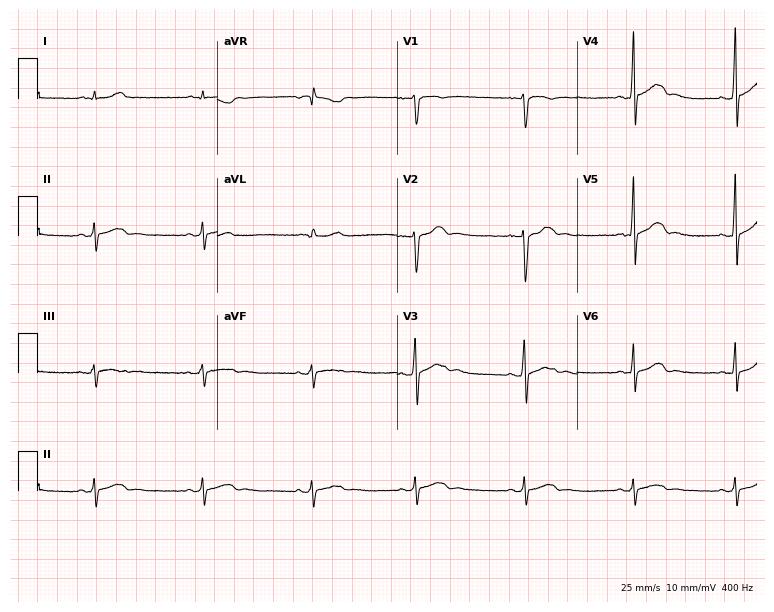
Electrocardiogram (7.3-second recording at 400 Hz), a man, 47 years old. Overall reading on record: normal ECG.